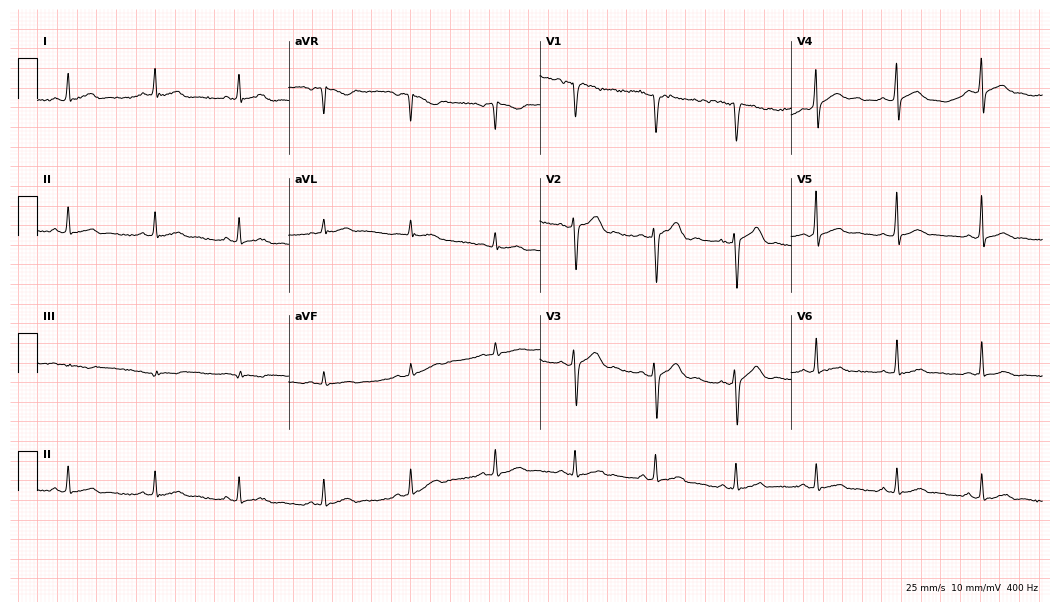
12-lead ECG from a 25-year-old man. Recorded interpretation: within normal limits.